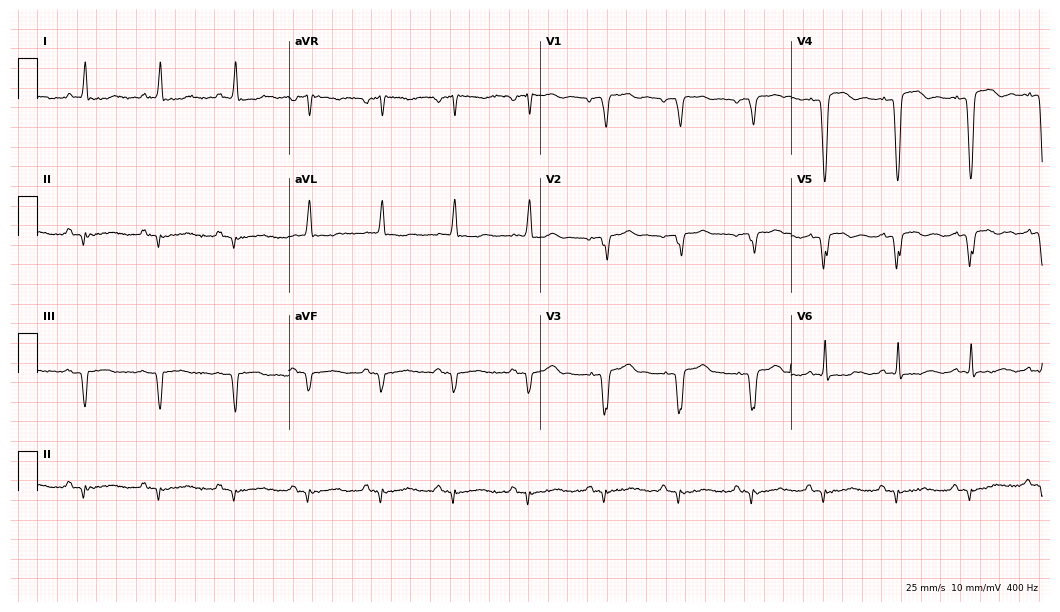
Electrocardiogram (10.2-second recording at 400 Hz), a man, 79 years old. Of the six screened findings (first-degree AV block, right bundle branch block (RBBB), left bundle branch block (LBBB), sinus bradycardia, atrial fibrillation (AF), sinus tachycardia), none is recorded. Other findings, if any, are not listed.